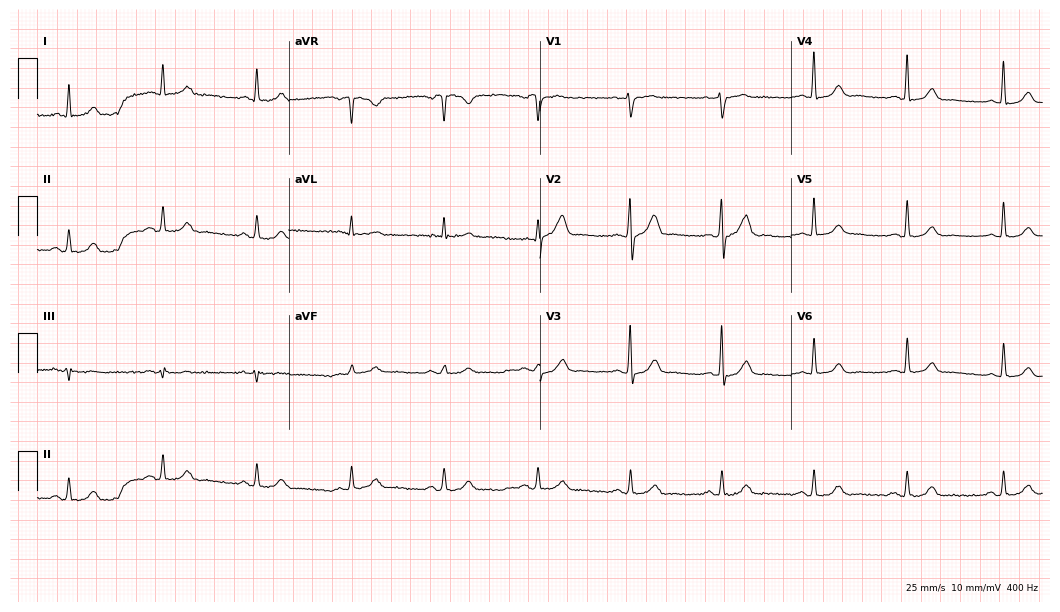
ECG — a man, 52 years old. Labelled as a normal ECG.